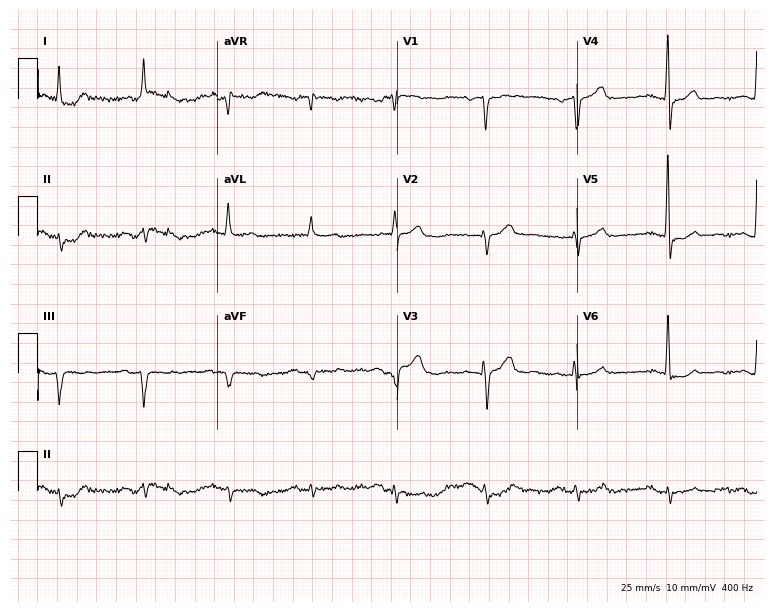
Resting 12-lead electrocardiogram (7.3-second recording at 400 Hz). Patient: a 76-year-old male. None of these six findings is recorded: first-degree AV block, right bundle branch block (RBBB), left bundle branch block (LBBB), sinus bradycardia, atrial fibrillation (AF), sinus tachycardia. Other findings, if any, are not listed.